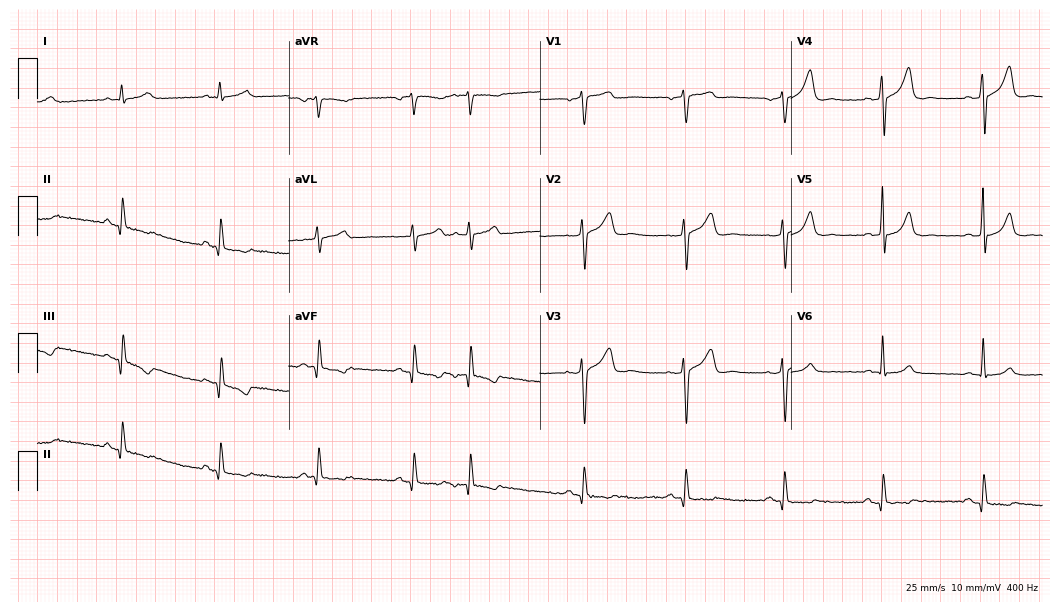
Electrocardiogram (10.2-second recording at 400 Hz), a man, 57 years old. Of the six screened findings (first-degree AV block, right bundle branch block, left bundle branch block, sinus bradycardia, atrial fibrillation, sinus tachycardia), none is recorded.